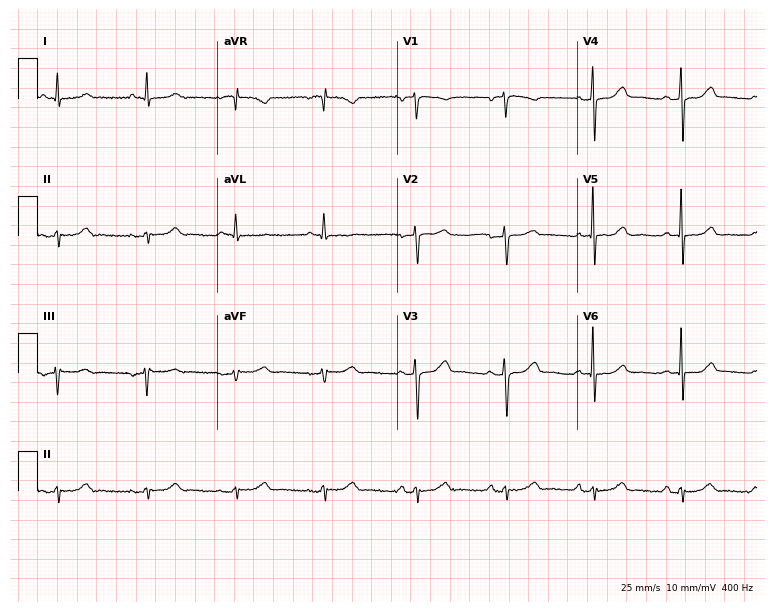
12-lead ECG from a 57-year-old woman. No first-degree AV block, right bundle branch block (RBBB), left bundle branch block (LBBB), sinus bradycardia, atrial fibrillation (AF) or sinus tachycardia recorded for this tracing.